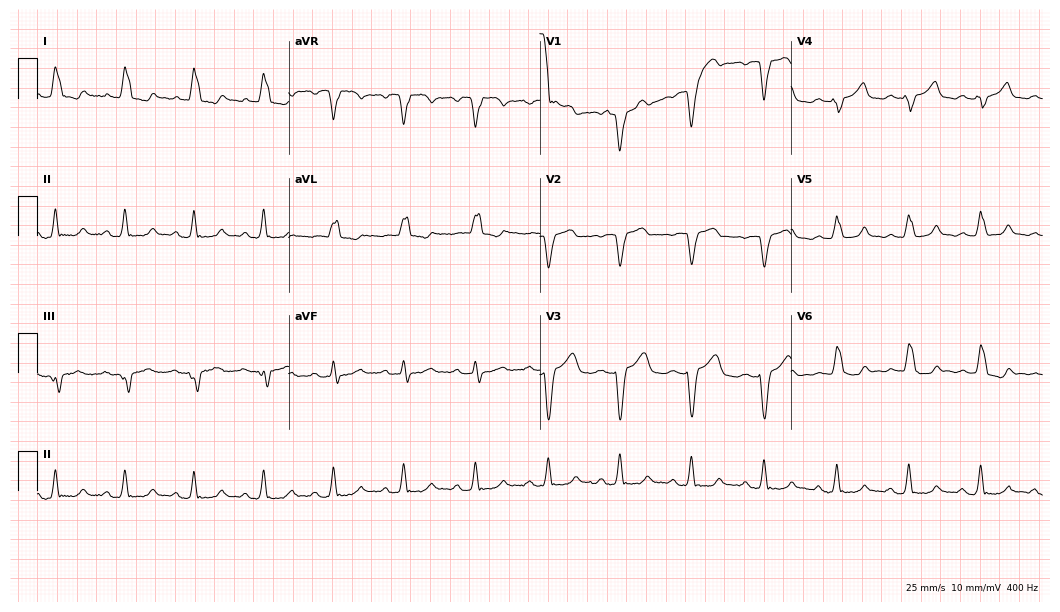
12-lead ECG (10.2-second recording at 400 Hz) from an 83-year-old female patient. Findings include left bundle branch block.